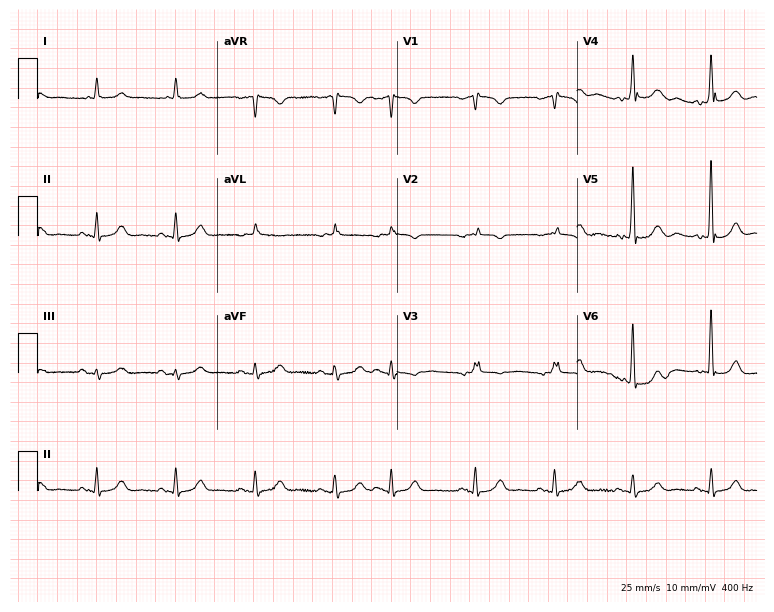
12-lead ECG (7.3-second recording at 400 Hz) from a 79-year-old male. Screened for six findings — first-degree AV block, right bundle branch block (RBBB), left bundle branch block (LBBB), sinus bradycardia, atrial fibrillation (AF), sinus tachycardia — none is recorded.